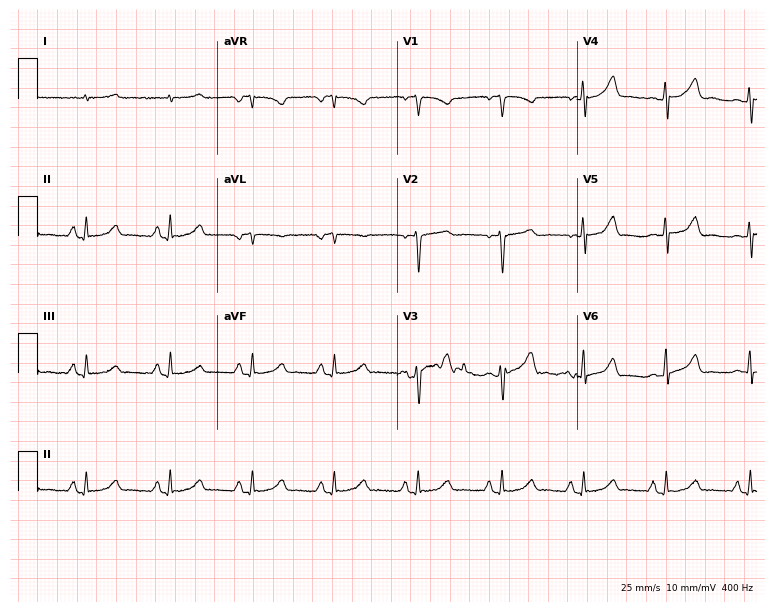
12-lead ECG from a woman, 74 years old (7.3-second recording at 400 Hz). Recorded interpretation: within normal limits.